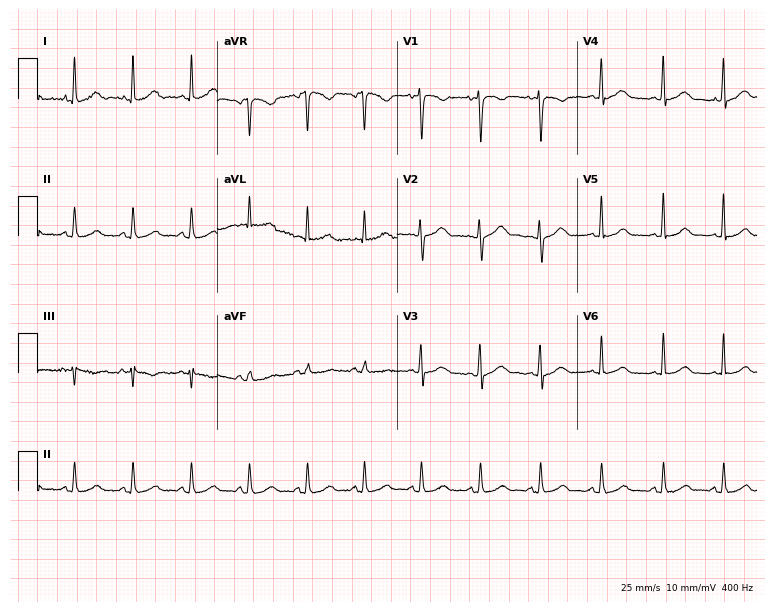
12-lead ECG (7.3-second recording at 400 Hz) from a female patient, 26 years old. Screened for six findings — first-degree AV block, right bundle branch block, left bundle branch block, sinus bradycardia, atrial fibrillation, sinus tachycardia — none is recorded.